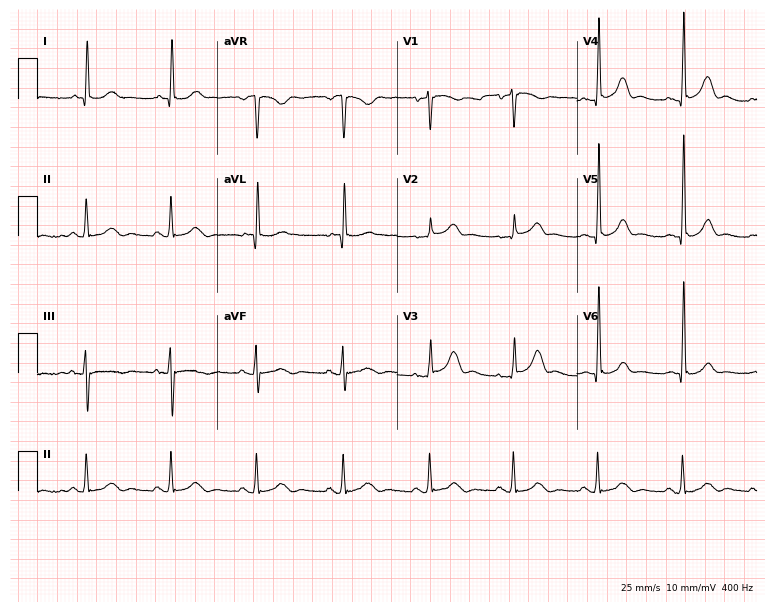
Standard 12-lead ECG recorded from an 84-year-old male patient (7.3-second recording at 400 Hz). None of these six findings is recorded: first-degree AV block, right bundle branch block (RBBB), left bundle branch block (LBBB), sinus bradycardia, atrial fibrillation (AF), sinus tachycardia.